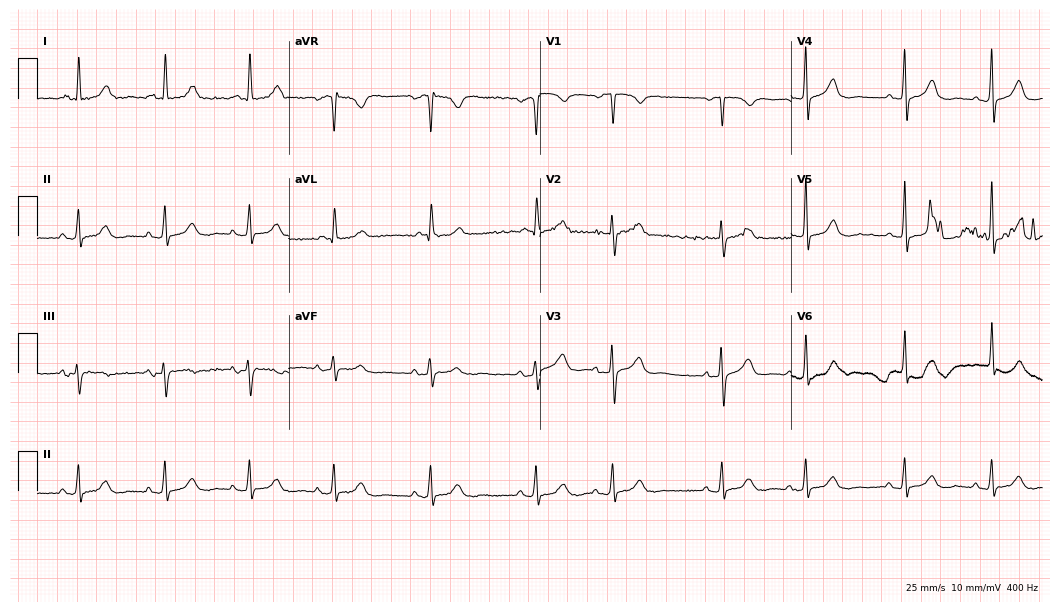
12-lead ECG from an 80-year-old male patient. Recorded interpretation: within normal limits.